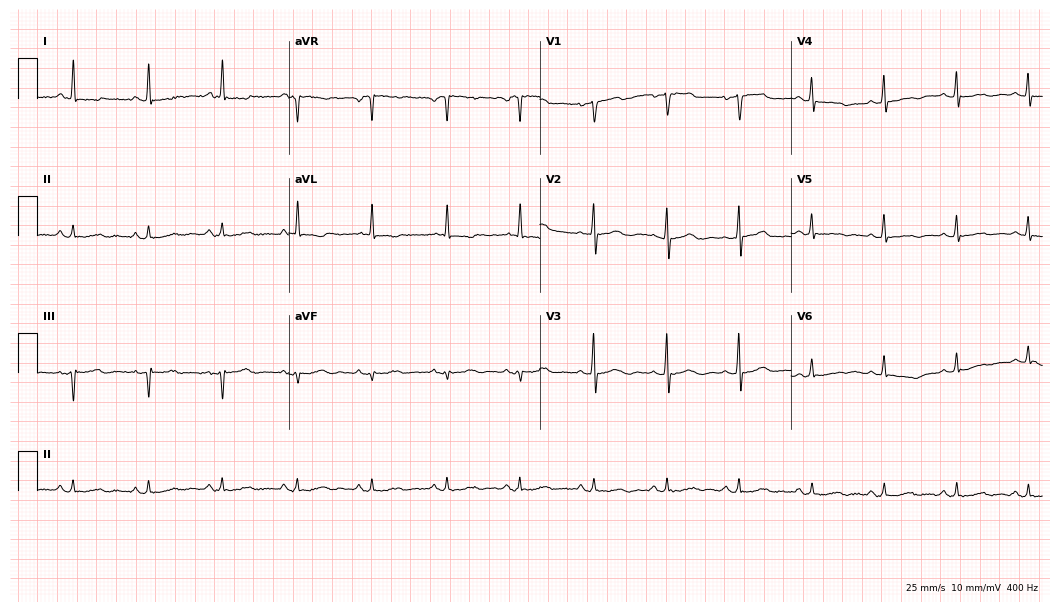
ECG — a 77-year-old female patient. Screened for six findings — first-degree AV block, right bundle branch block (RBBB), left bundle branch block (LBBB), sinus bradycardia, atrial fibrillation (AF), sinus tachycardia — none is recorded. Only these six findings were labelled.